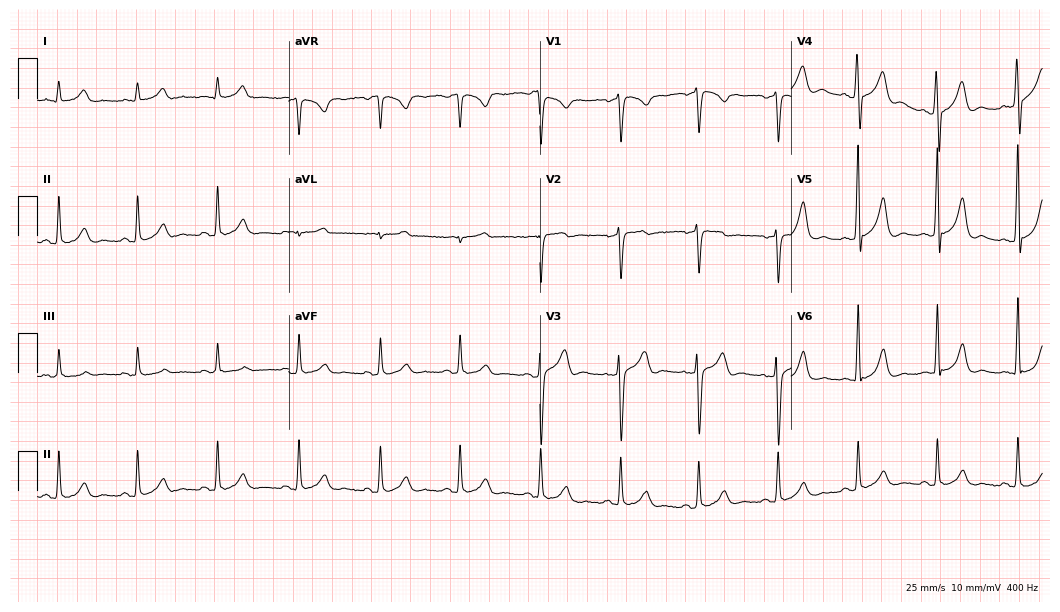
12-lead ECG from a man, 33 years old. Recorded interpretation: within normal limits.